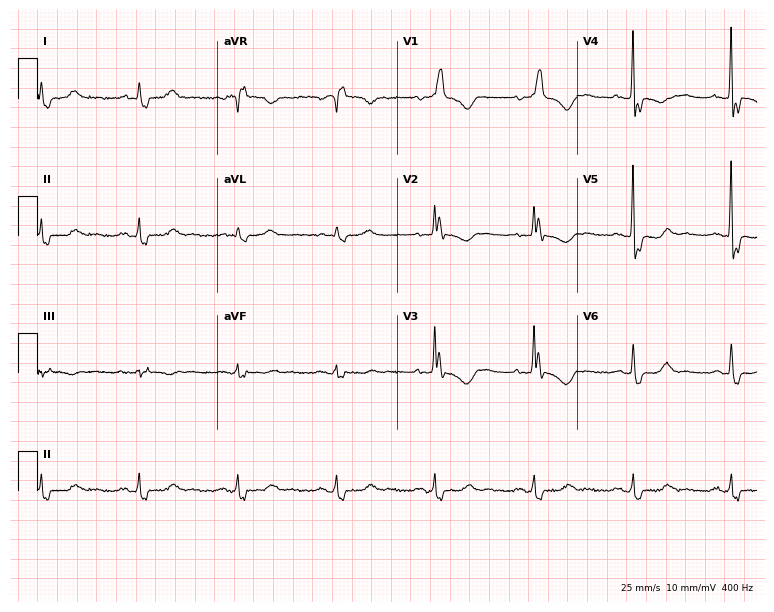
12-lead ECG from a 61-year-old female patient (7.3-second recording at 400 Hz). Shows right bundle branch block.